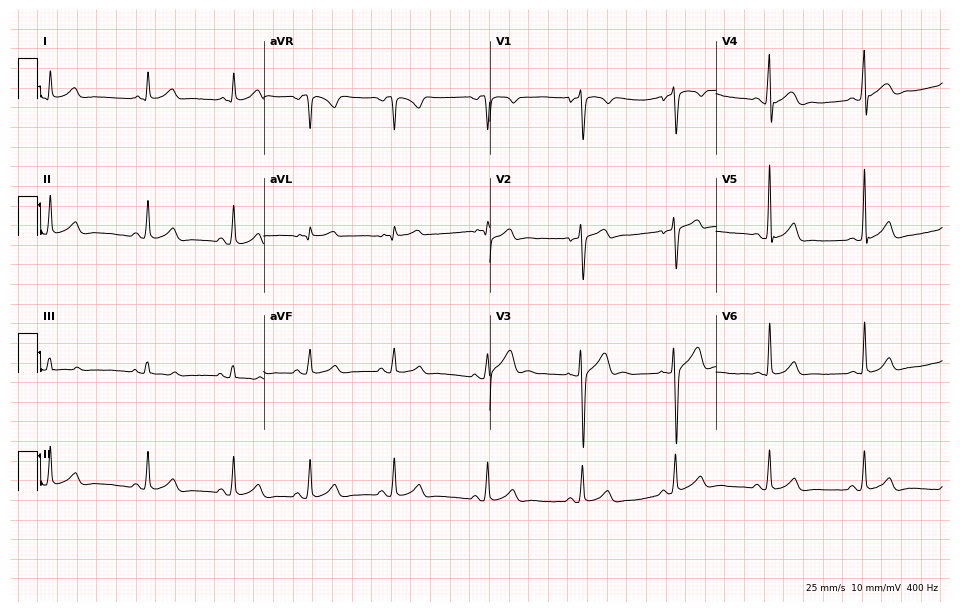
Resting 12-lead electrocardiogram (9.2-second recording at 400 Hz). Patient: a male, 20 years old. None of these six findings is recorded: first-degree AV block, right bundle branch block, left bundle branch block, sinus bradycardia, atrial fibrillation, sinus tachycardia.